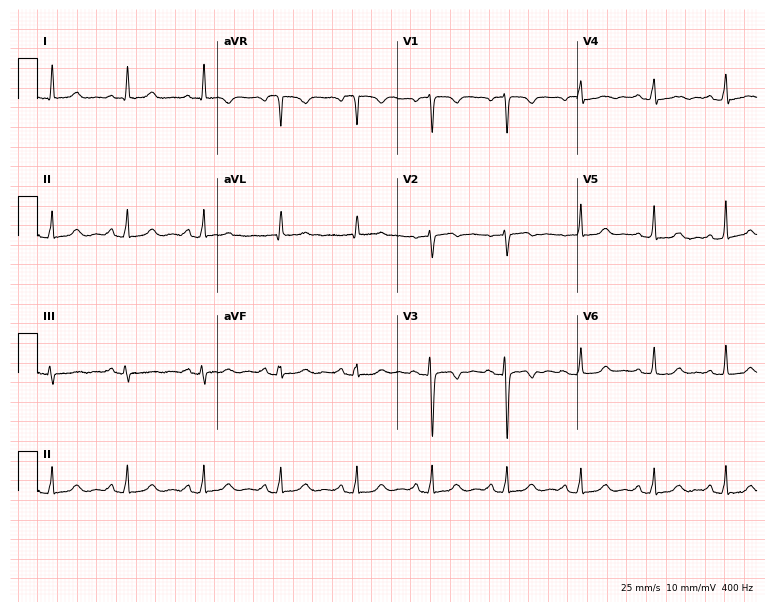
ECG (7.3-second recording at 400 Hz) — a female, 52 years old. Labelled as a normal ECG.